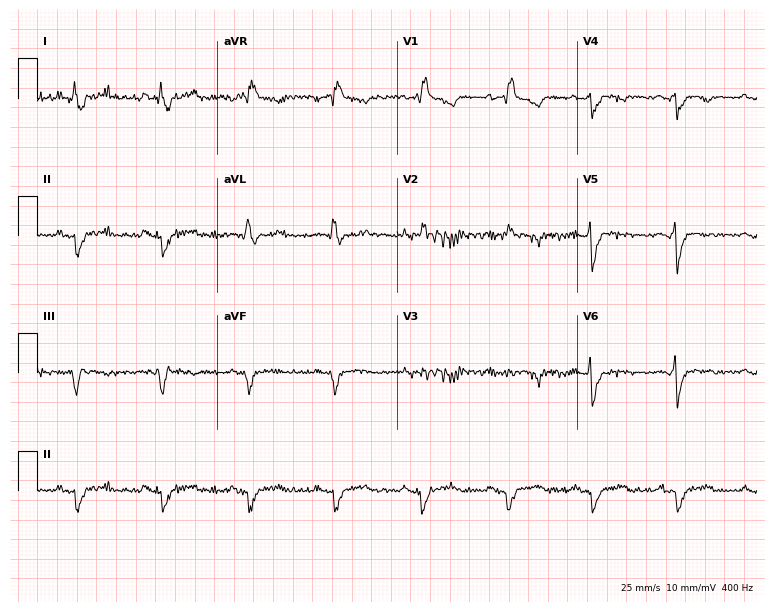
Electrocardiogram, a 38-year-old woman. Of the six screened findings (first-degree AV block, right bundle branch block, left bundle branch block, sinus bradycardia, atrial fibrillation, sinus tachycardia), none is recorded. Other findings, if any, are not listed.